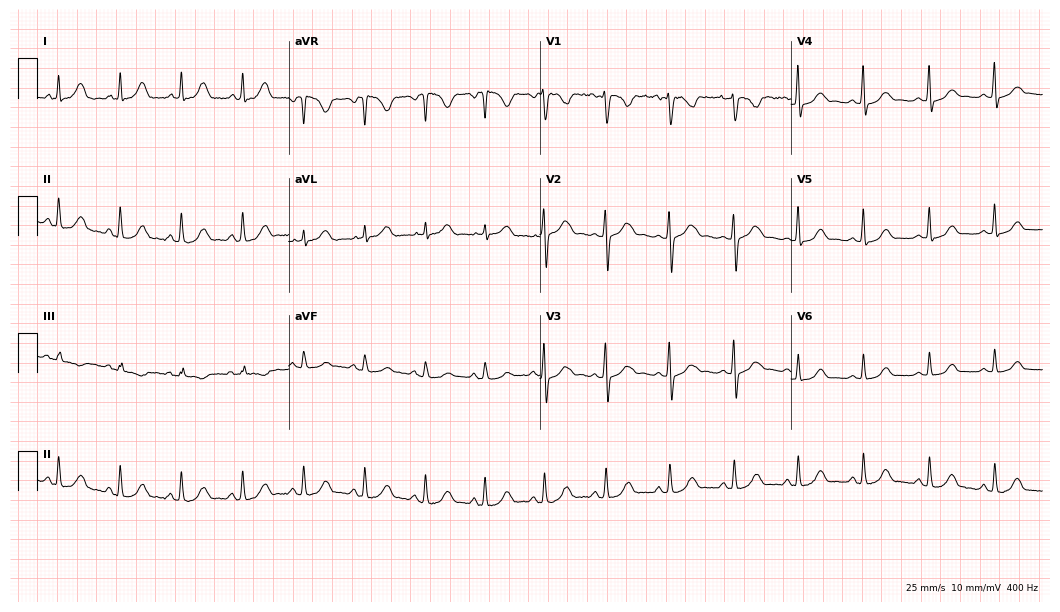
12-lead ECG from a 23-year-old female patient. Recorded interpretation: within normal limits.